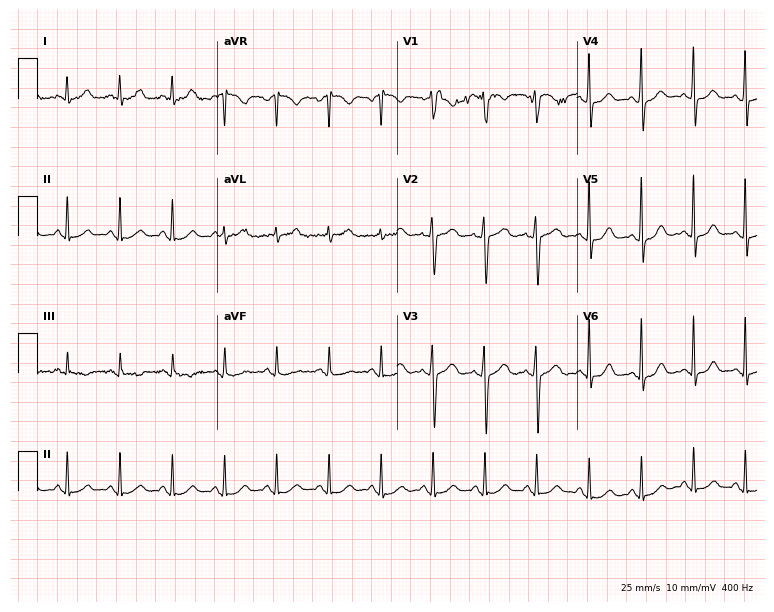
12-lead ECG (7.3-second recording at 400 Hz) from a 28-year-old female patient. Findings include sinus tachycardia (a sinus rate of 100 beats per minute or more).